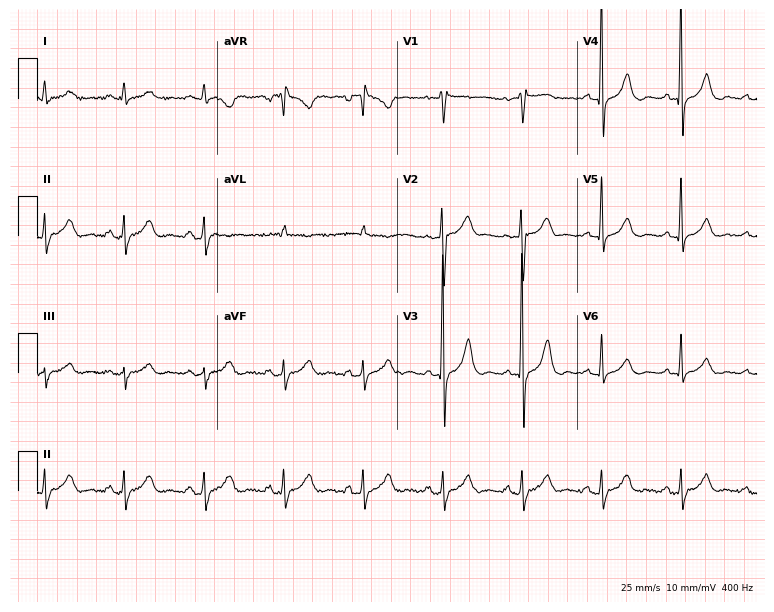
12-lead ECG from a 64-year-old male (7.3-second recording at 400 Hz). Recorded interpretation: within normal limits.